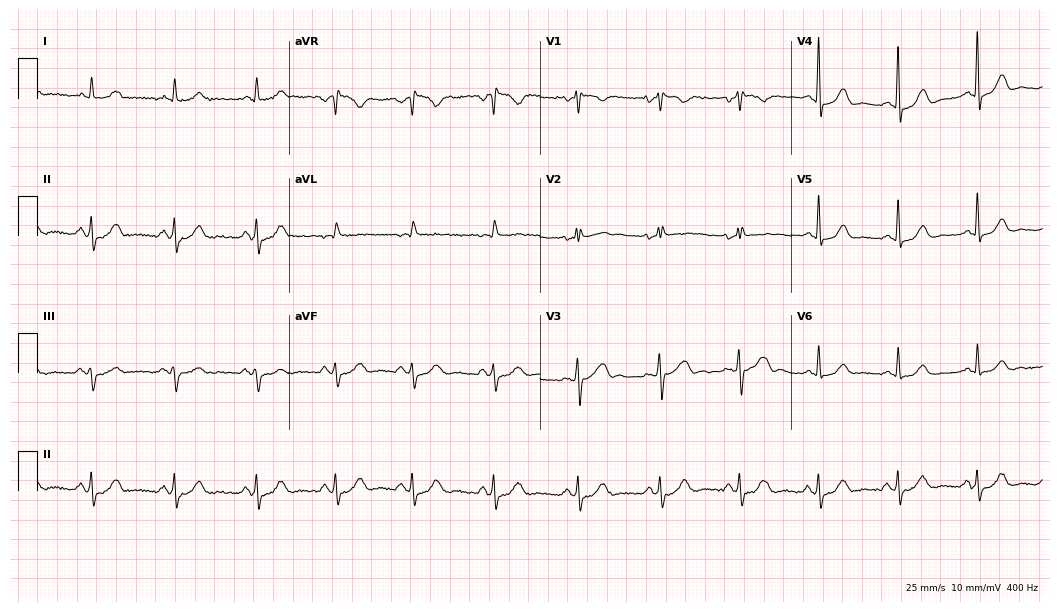
Electrocardiogram, a man, 42 years old. Overall reading on record: normal ECG.